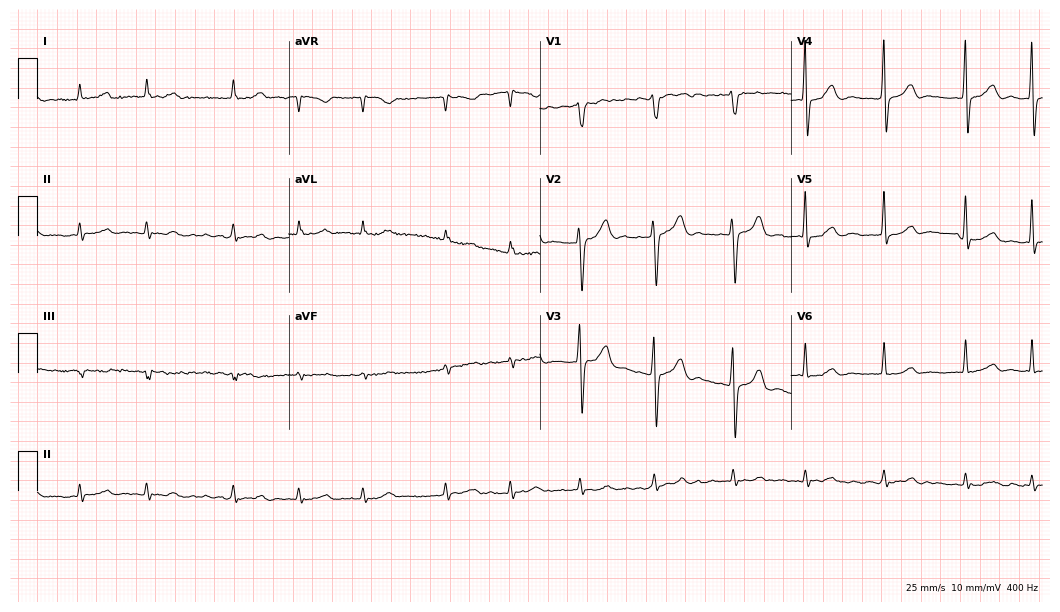
Resting 12-lead electrocardiogram. Patient: a male, 79 years old. Read as a normal ECG.